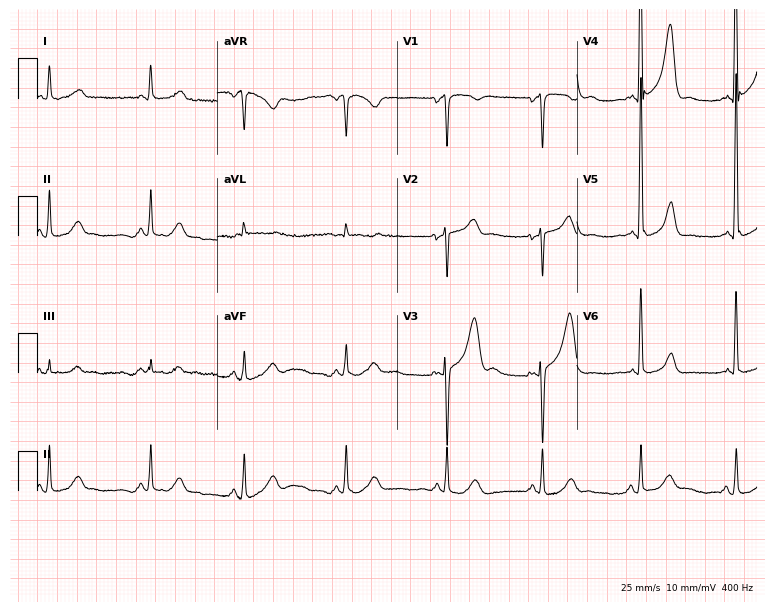
12-lead ECG (7.3-second recording at 400 Hz) from an 81-year-old male. Labelled as a normal ECG.